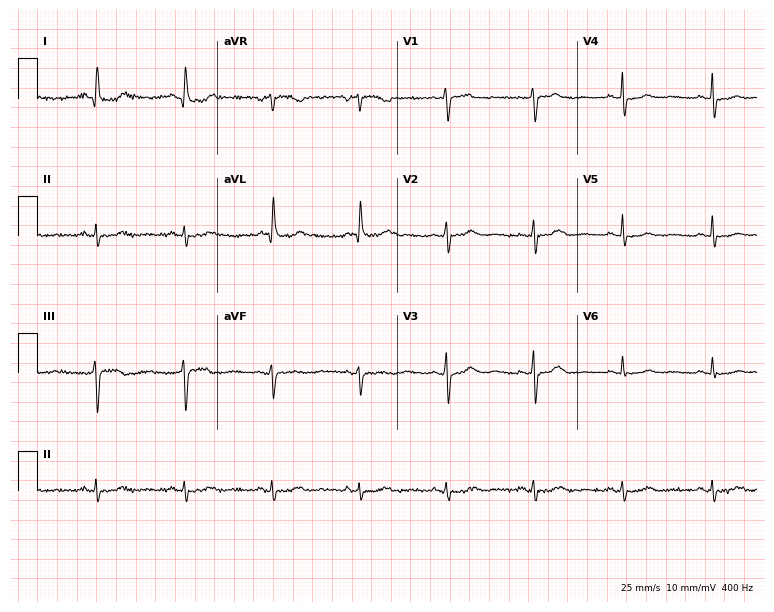
Resting 12-lead electrocardiogram (7.3-second recording at 400 Hz). Patient: a 49-year-old female. None of these six findings is recorded: first-degree AV block, right bundle branch block, left bundle branch block, sinus bradycardia, atrial fibrillation, sinus tachycardia.